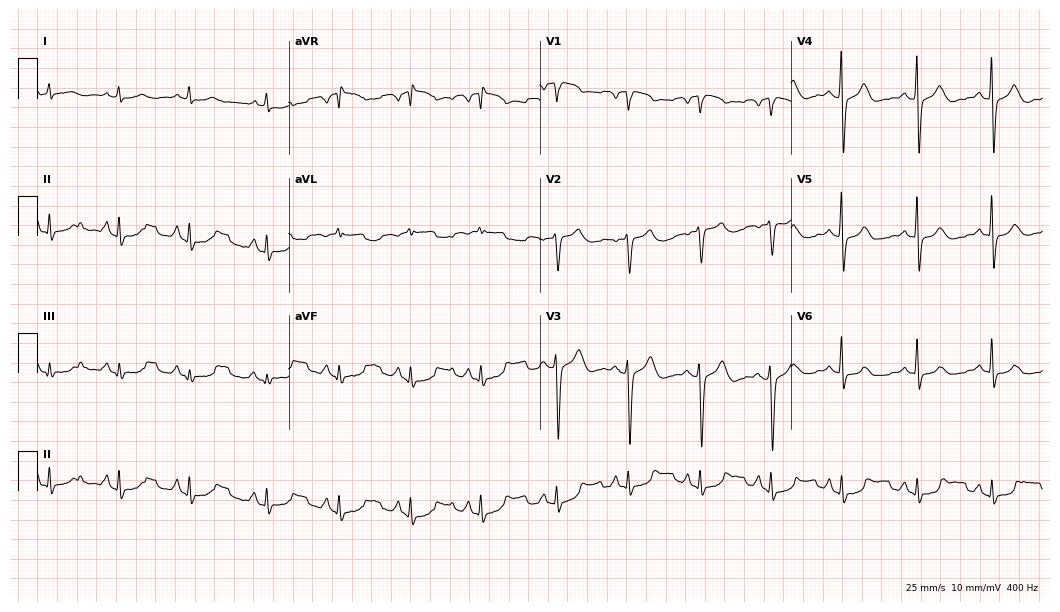
Standard 12-lead ECG recorded from a female patient, 70 years old (10.2-second recording at 400 Hz). None of these six findings is recorded: first-degree AV block, right bundle branch block (RBBB), left bundle branch block (LBBB), sinus bradycardia, atrial fibrillation (AF), sinus tachycardia. Findings outside these six are not listed.